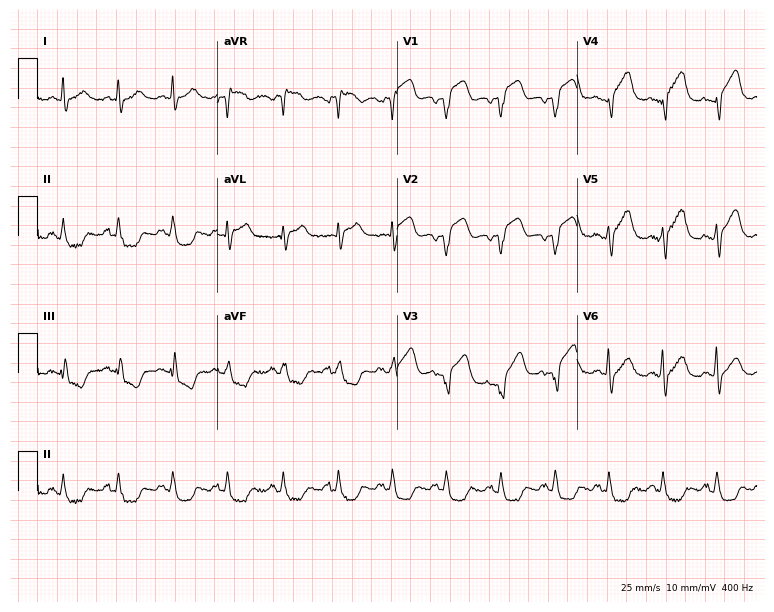
Resting 12-lead electrocardiogram. Patient: a male, 61 years old. None of these six findings is recorded: first-degree AV block, right bundle branch block, left bundle branch block, sinus bradycardia, atrial fibrillation, sinus tachycardia. Only these six findings were labelled.